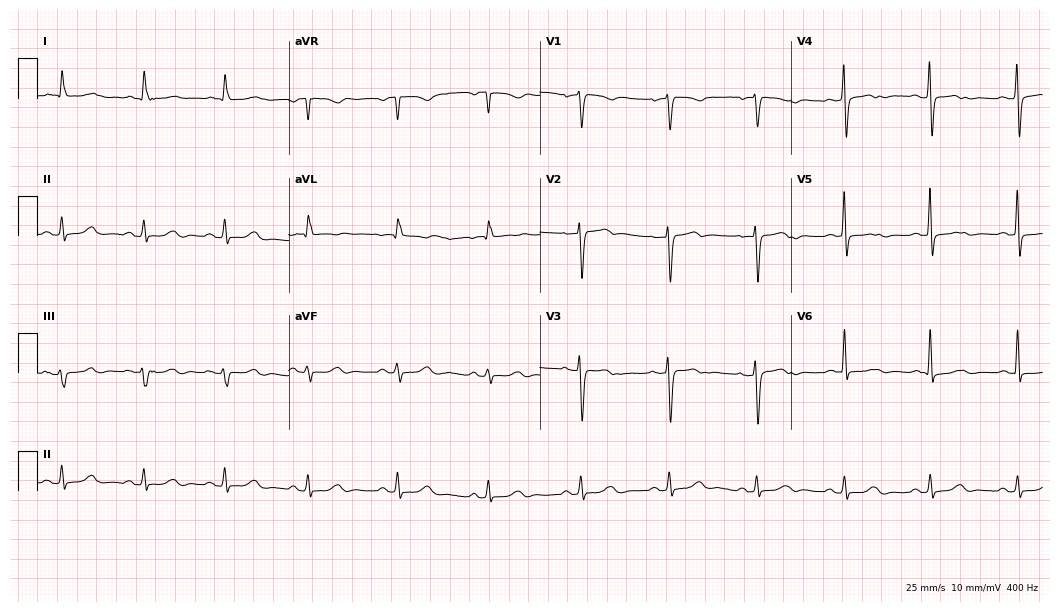
Standard 12-lead ECG recorded from a female, 65 years old (10.2-second recording at 400 Hz). Read as a normal ECG.